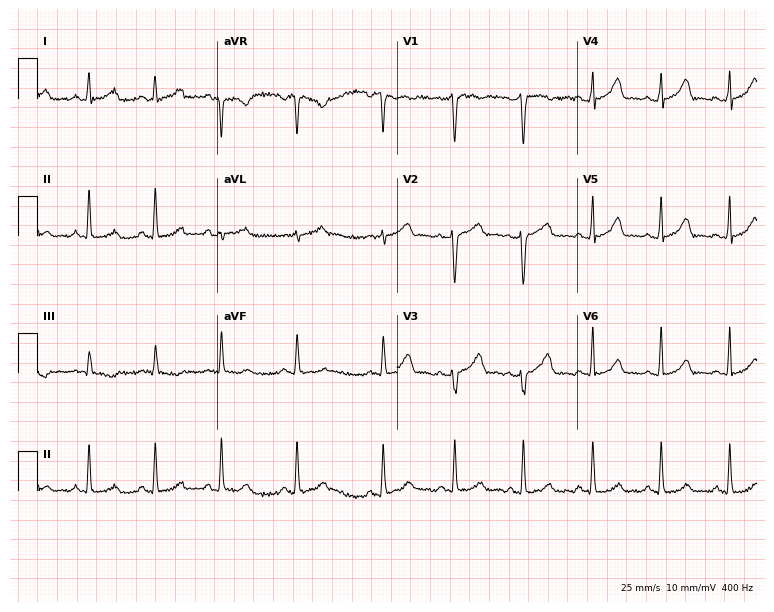
Resting 12-lead electrocardiogram. Patient: a female, 34 years old. None of these six findings is recorded: first-degree AV block, right bundle branch block, left bundle branch block, sinus bradycardia, atrial fibrillation, sinus tachycardia.